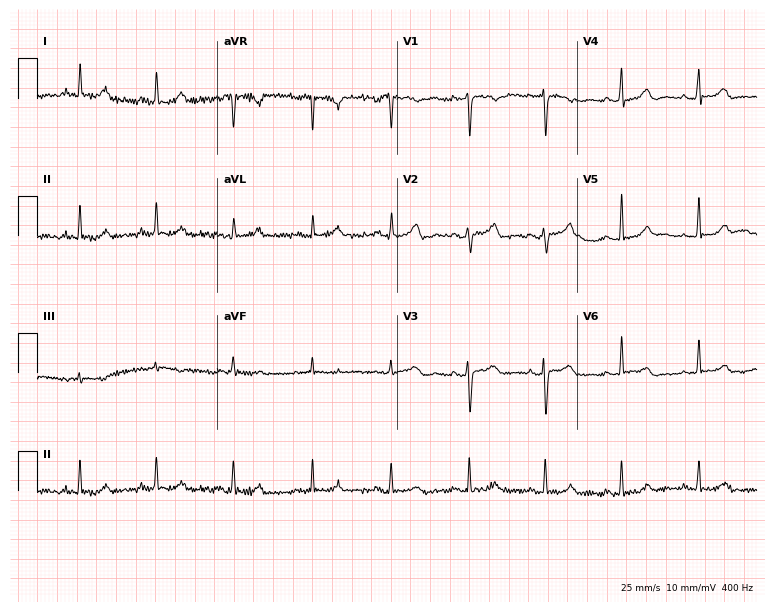
Electrocardiogram (7.3-second recording at 400 Hz), a female, 40 years old. Overall reading on record: normal ECG.